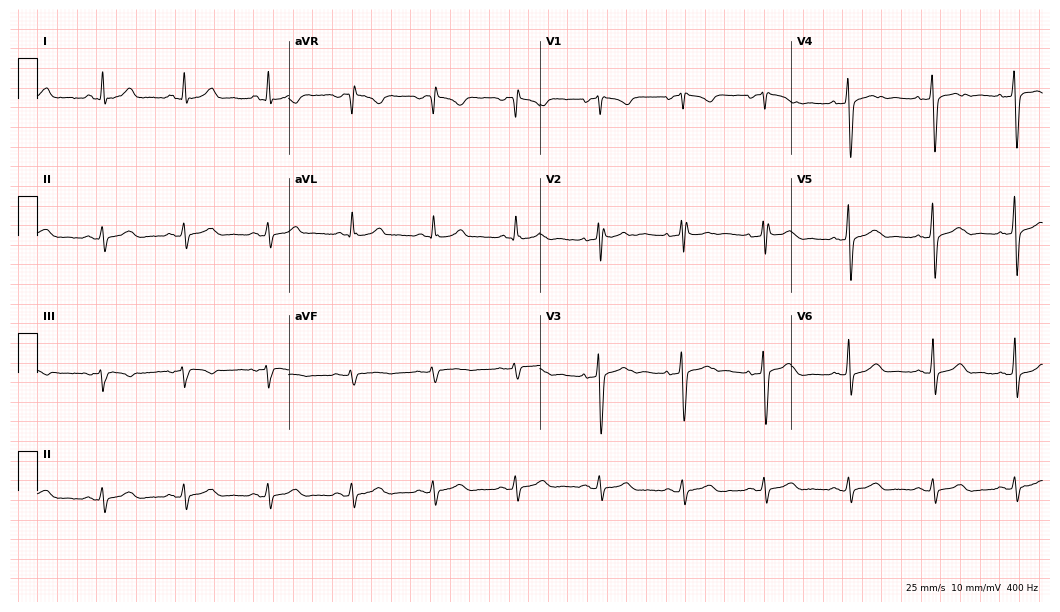
12-lead ECG from a man, 39 years old. Screened for six findings — first-degree AV block, right bundle branch block, left bundle branch block, sinus bradycardia, atrial fibrillation, sinus tachycardia — none is recorded. Only these six findings were labelled.